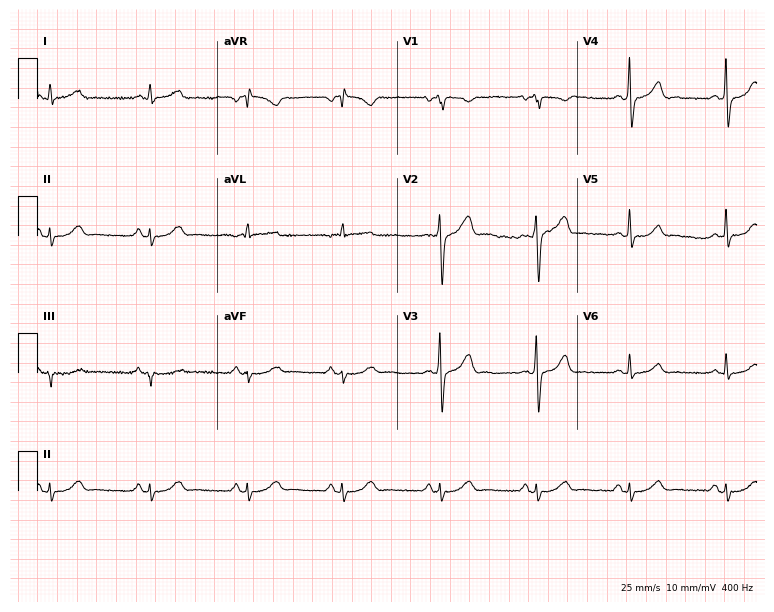
Electrocardiogram, a male patient, 57 years old. Of the six screened findings (first-degree AV block, right bundle branch block, left bundle branch block, sinus bradycardia, atrial fibrillation, sinus tachycardia), none is recorded.